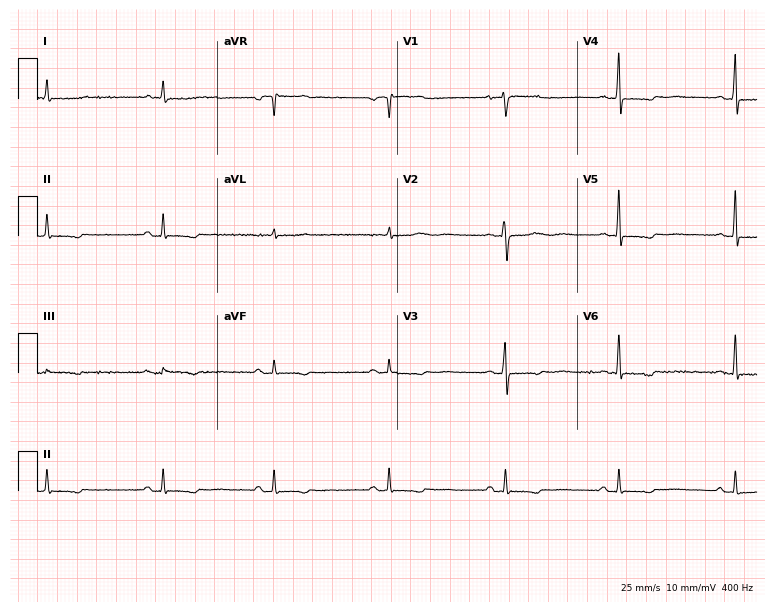
Resting 12-lead electrocardiogram. Patient: a female, 69 years old. None of these six findings is recorded: first-degree AV block, right bundle branch block, left bundle branch block, sinus bradycardia, atrial fibrillation, sinus tachycardia.